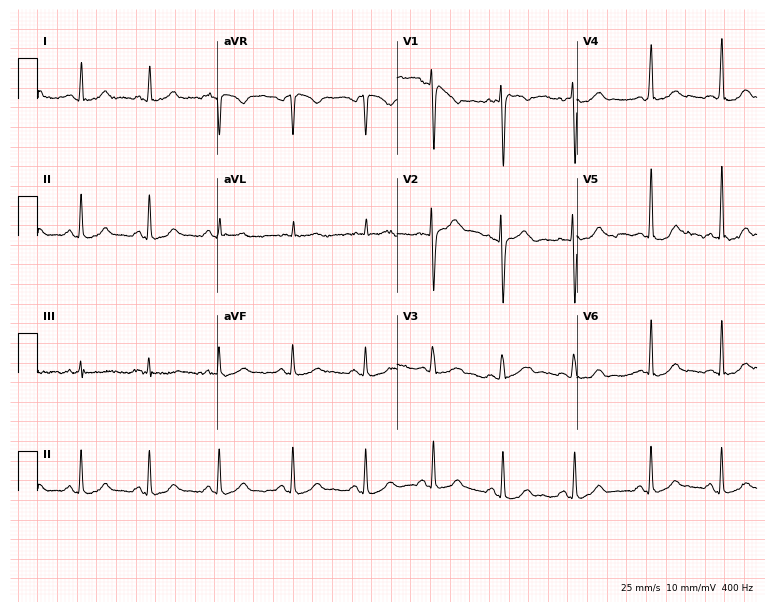
12-lead ECG from a 24-year-old female patient. Screened for six findings — first-degree AV block, right bundle branch block, left bundle branch block, sinus bradycardia, atrial fibrillation, sinus tachycardia — none is recorded.